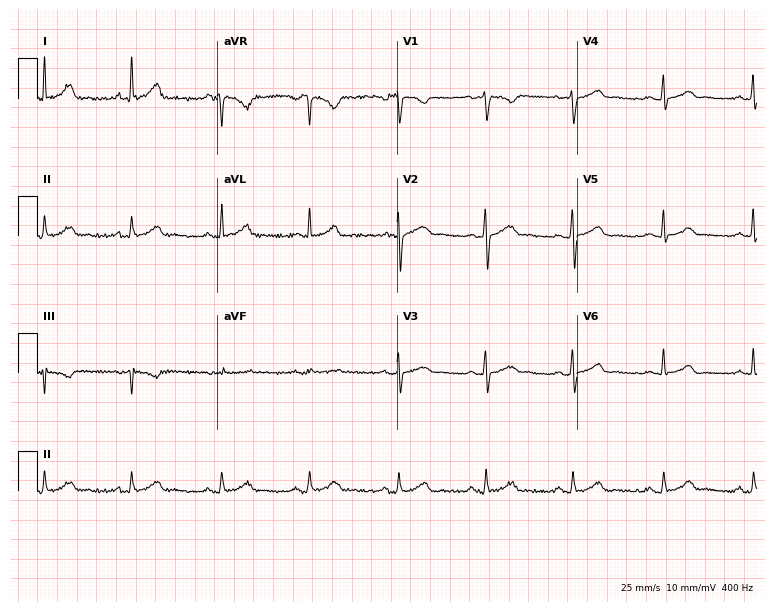
12-lead ECG from a 37-year-old female. Labelled as a normal ECG.